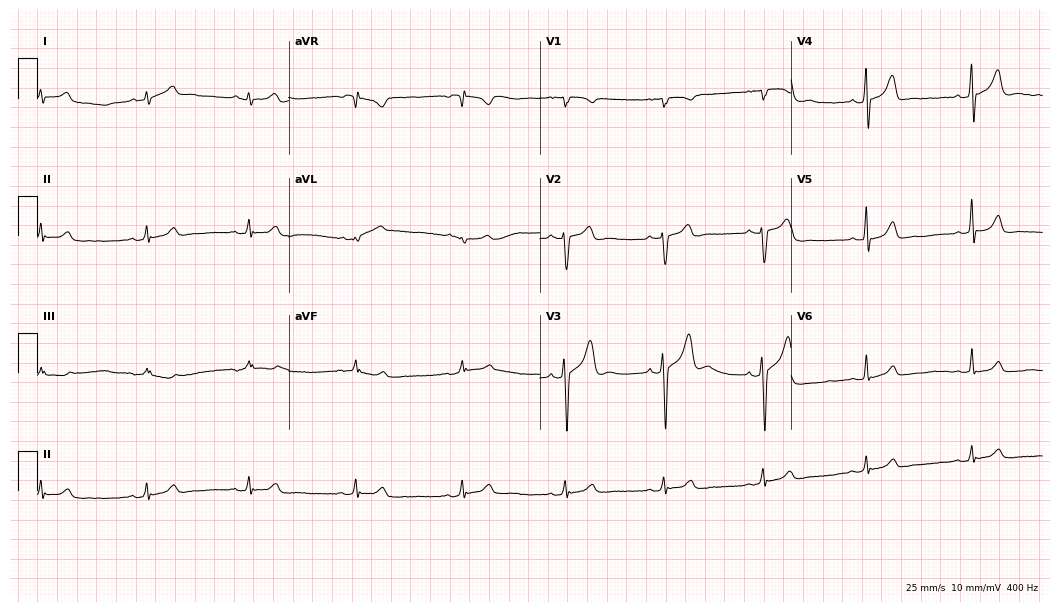
12-lead ECG (10.2-second recording at 400 Hz) from a man, 31 years old. Screened for six findings — first-degree AV block, right bundle branch block, left bundle branch block, sinus bradycardia, atrial fibrillation, sinus tachycardia — none is recorded.